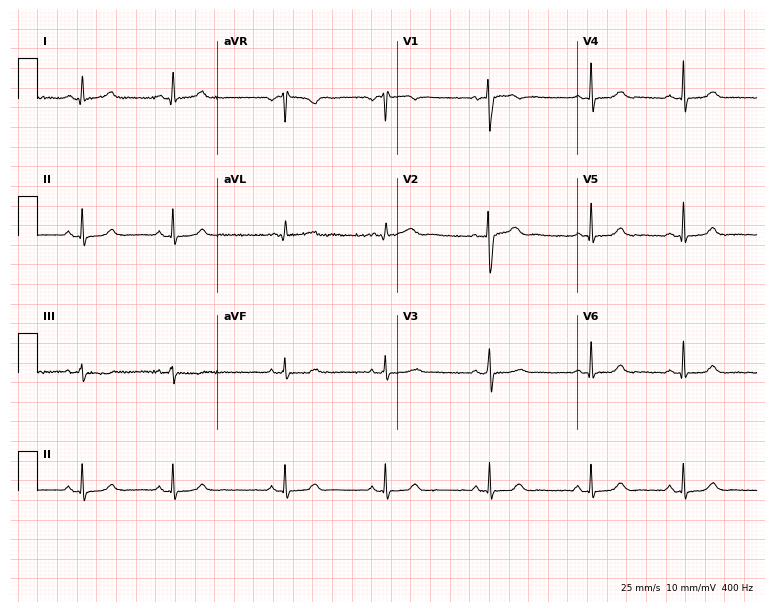
Standard 12-lead ECG recorded from a 31-year-old woman. None of these six findings is recorded: first-degree AV block, right bundle branch block (RBBB), left bundle branch block (LBBB), sinus bradycardia, atrial fibrillation (AF), sinus tachycardia. Findings outside these six are not listed.